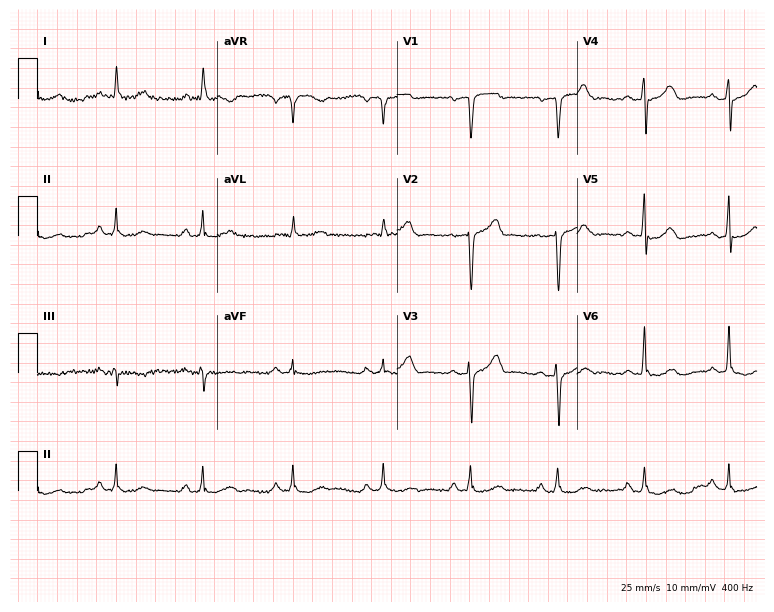
Standard 12-lead ECG recorded from a male, 63 years old. Read as a normal ECG.